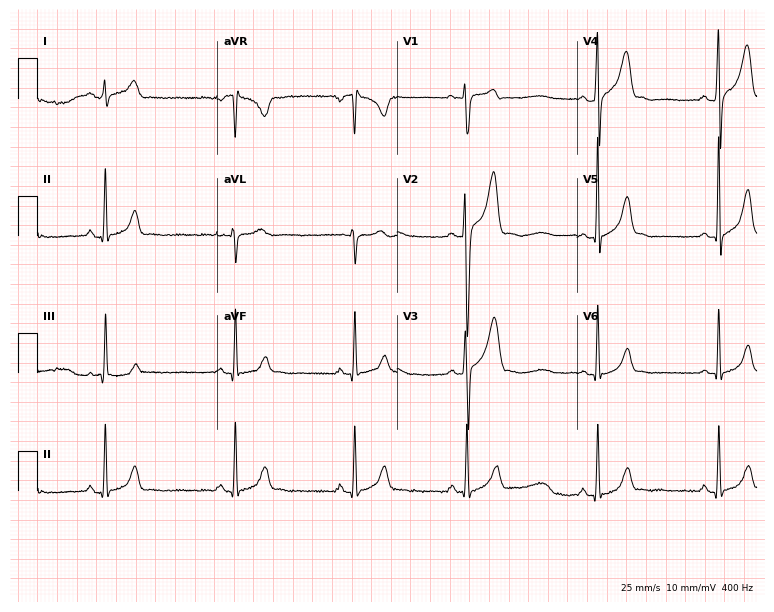
12-lead ECG from a man, 17 years old. Shows sinus bradycardia (a sinus rate of 50 beats per minute or less).